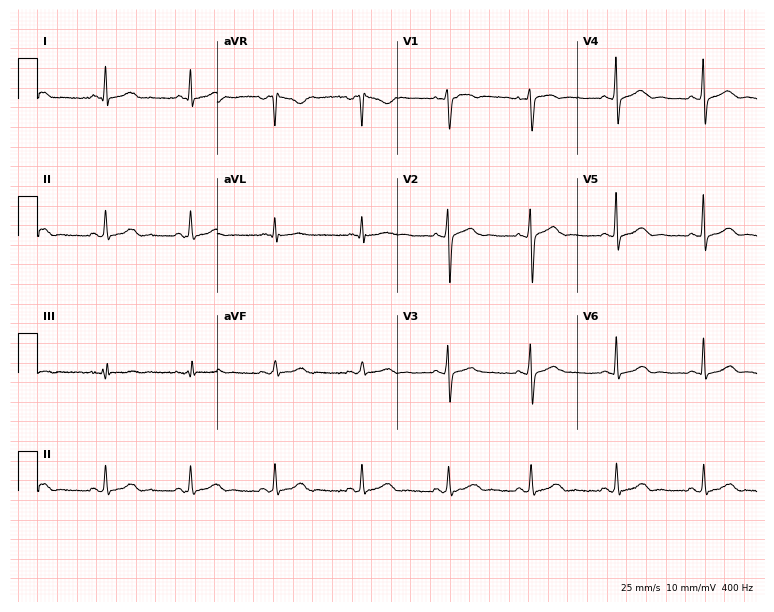
Electrocardiogram, a 38-year-old female. Overall reading on record: normal ECG.